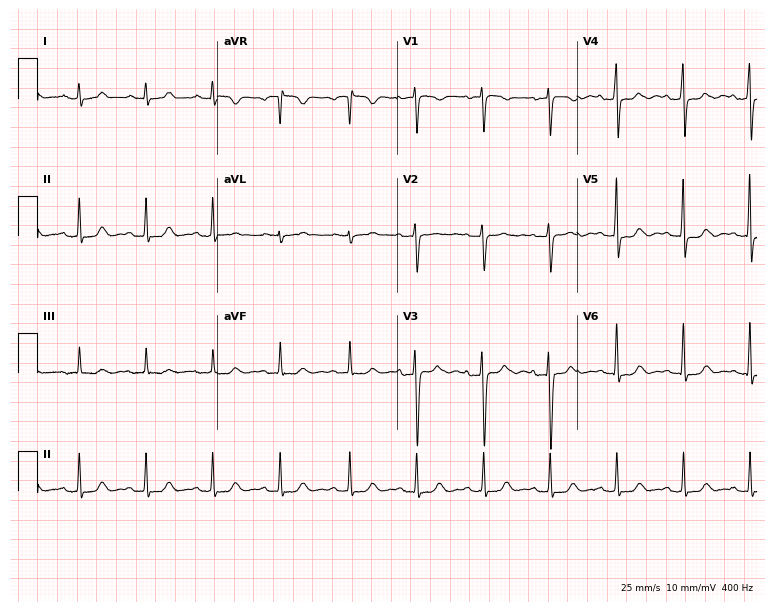
Electrocardiogram, a woman, 48 years old. Of the six screened findings (first-degree AV block, right bundle branch block (RBBB), left bundle branch block (LBBB), sinus bradycardia, atrial fibrillation (AF), sinus tachycardia), none is recorded.